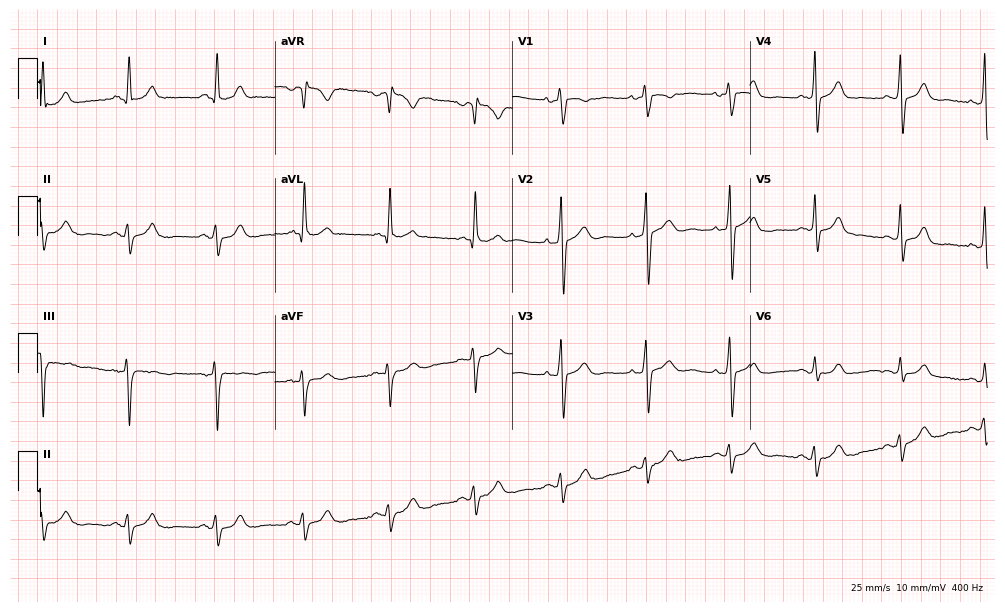
ECG (9.7-second recording at 400 Hz) — a male patient, 58 years old. Screened for six findings — first-degree AV block, right bundle branch block, left bundle branch block, sinus bradycardia, atrial fibrillation, sinus tachycardia — none is recorded. Only these six findings were labelled.